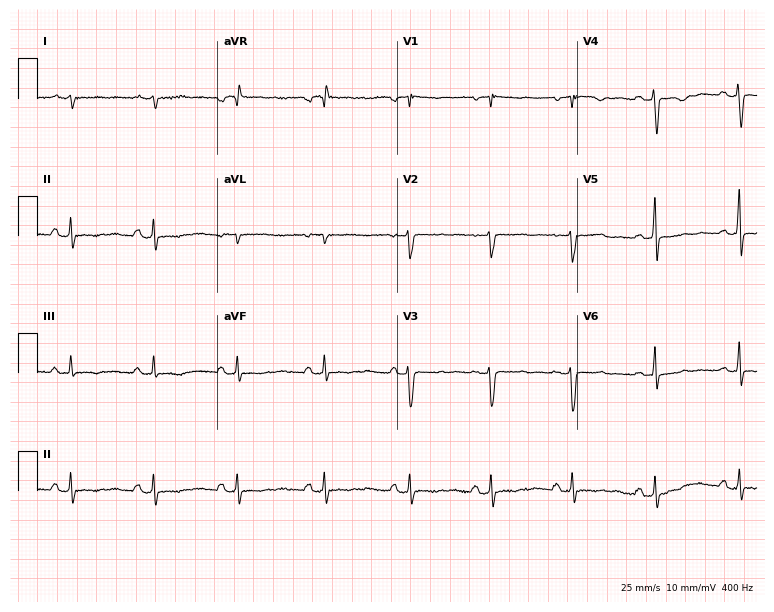
Electrocardiogram (7.3-second recording at 400 Hz), a 29-year-old woman. Of the six screened findings (first-degree AV block, right bundle branch block, left bundle branch block, sinus bradycardia, atrial fibrillation, sinus tachycardia), none is recorded. Only these six findings were labelled.